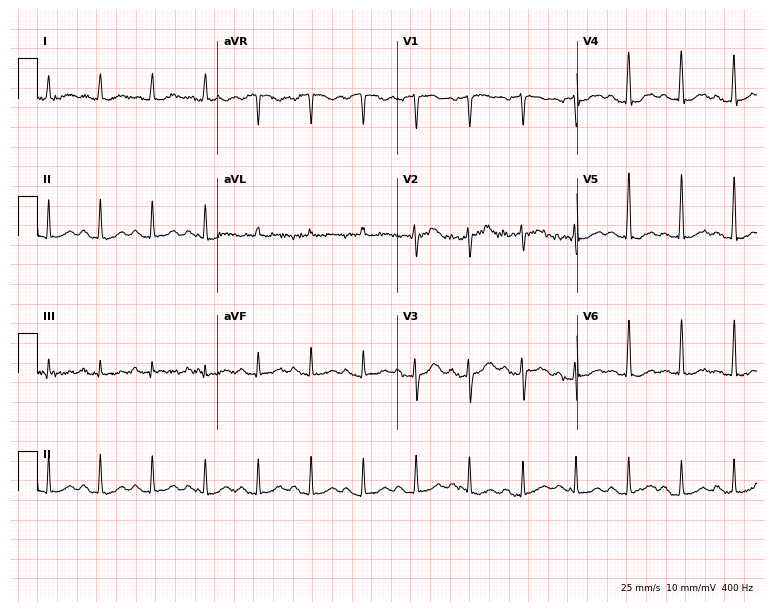
12-lead ECG (7.3-second recording at 400 Hz) from a man, 50 years old. Findings include sinus tachycardia (a sinus rate of 100 beats per minute or more).